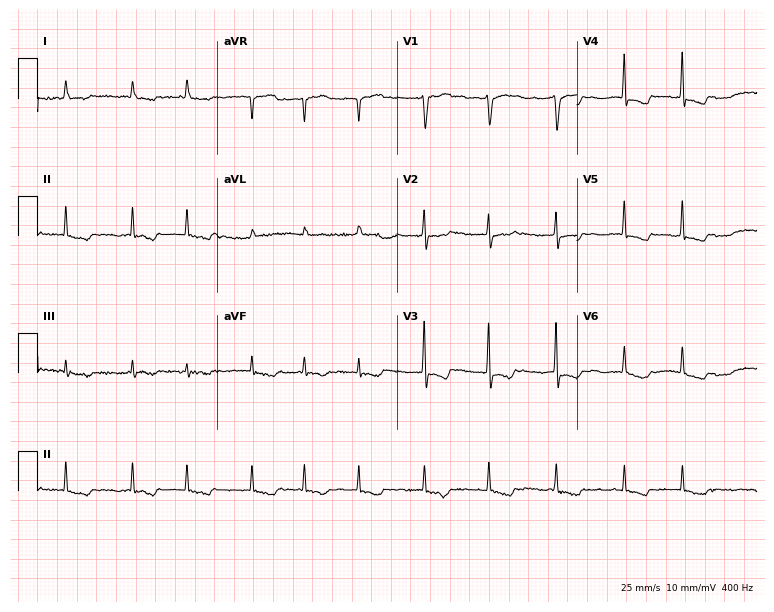
12-lead ECG from a 73-year-old male patient. Findings include atrial fibrillation.